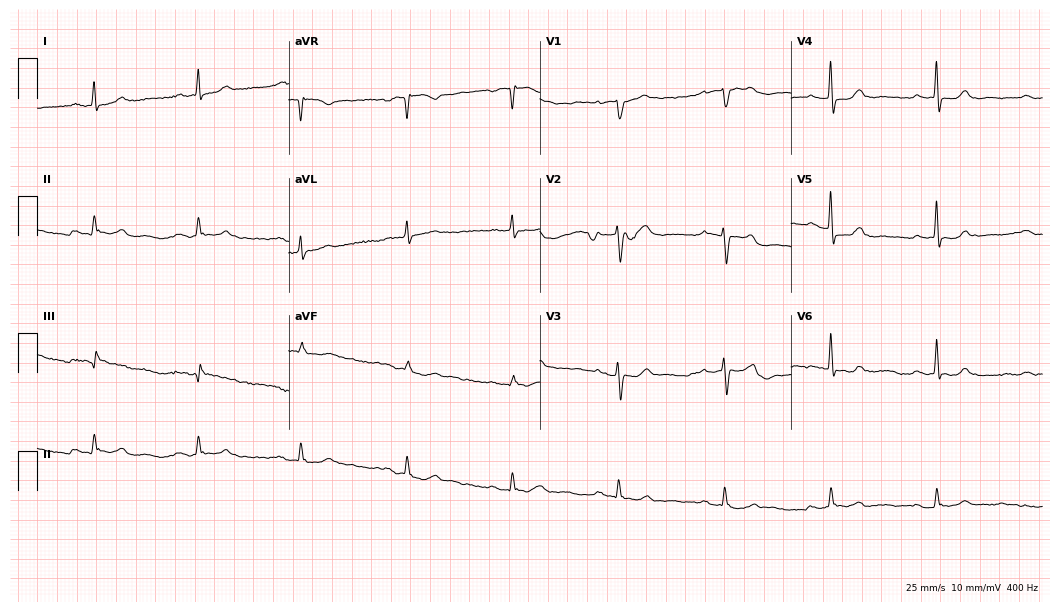
Standard 12-lead ECG recorded from an 85-year-old male. Read as a normal ECG.